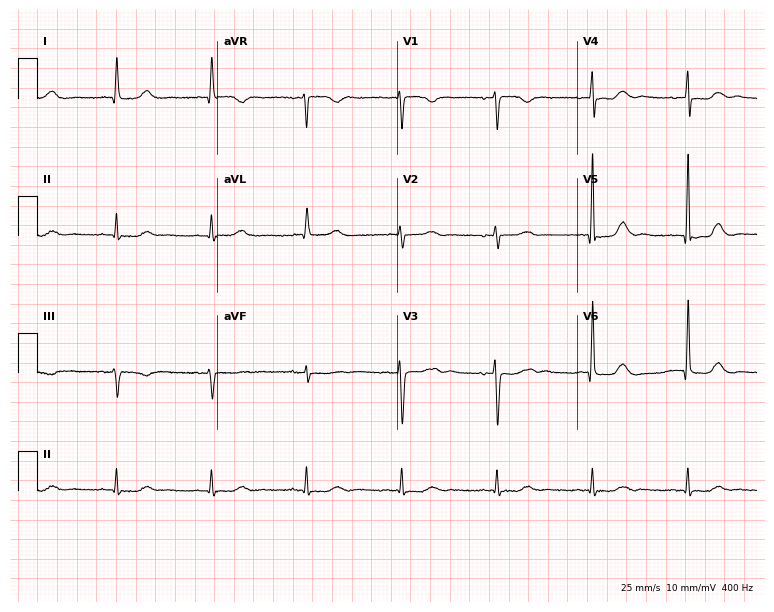
Electrocardiogram, a 77-year-old woman. Of the six screened findings (first-degree AV block, right bundle branch block, left bundle branch block, sinus bradycardia, atrial fibrillation, sinus tachycardia), none is recorded. Only these six findings were labelled.